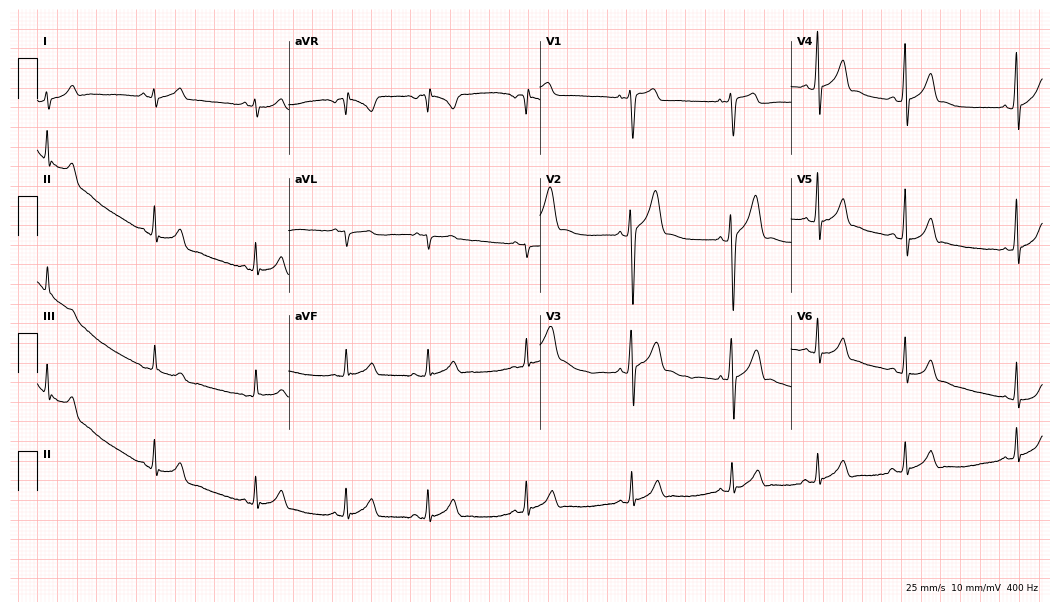
Standard 12-lead ECG recorded from a male, 19 years old. Read as a normal ECG.